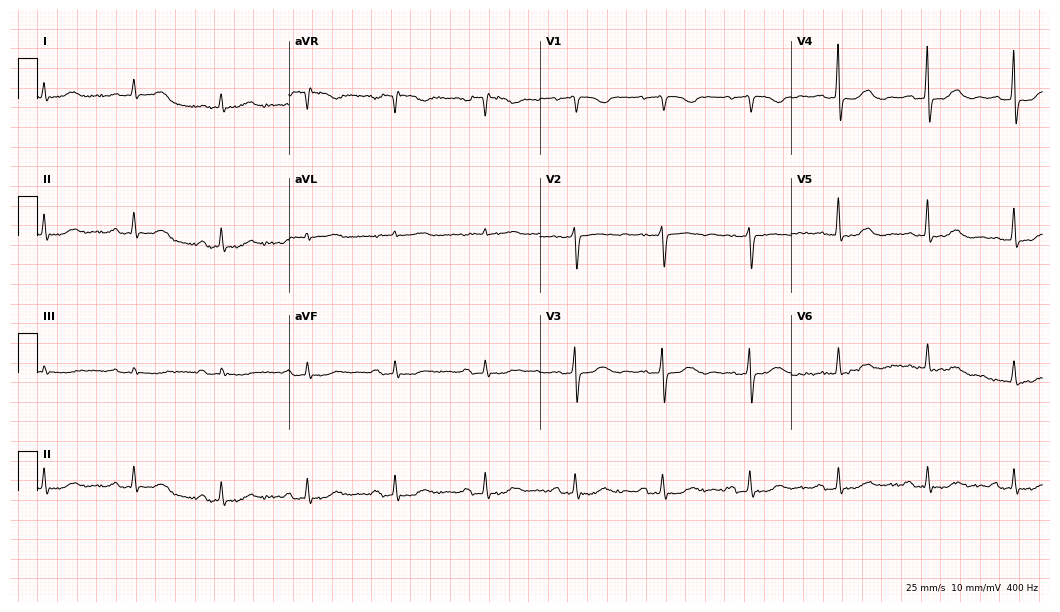
Electrocardiogram, a woman, 68 years old. Overall reading on record: normal ECG.